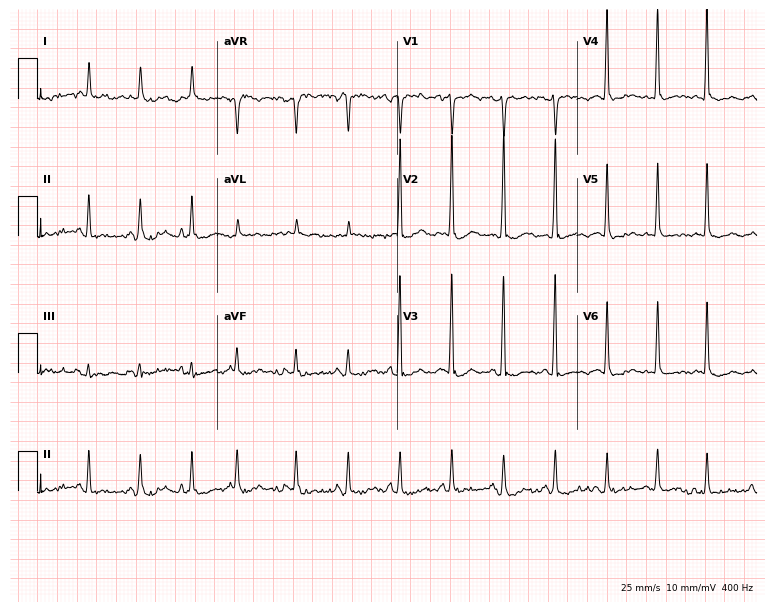
12-lead ECG from a 78-year-old female (7.3-second recording at 400 Hz). Shows sinus tachycardia (a sinus rate of 100 beats per minute or more).